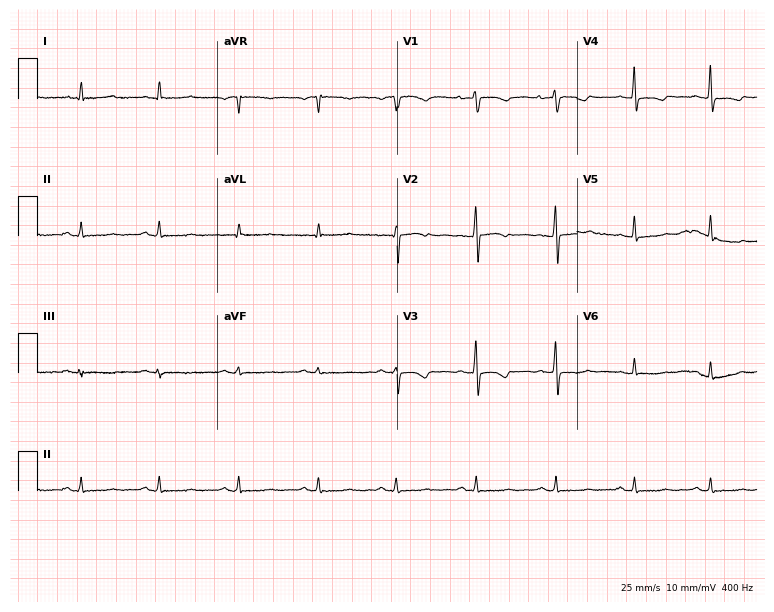
12-lead ECG (7.3-second recording at 400 Hz) from a woman, 42 years old. Screened for six findings — first-degree AV block, right bundle branch block, left bundle branch block, sinus bradycardia, atrial fibrillation, sinus tachycardia — none is recorded. Other findings, if any, are not listed.